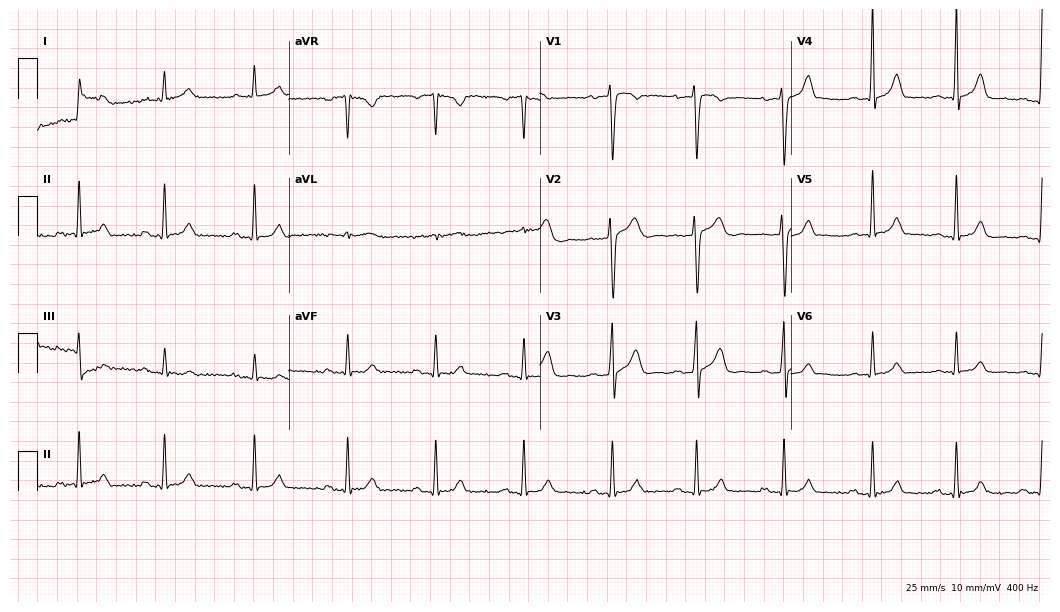
ECG (10.2-second recording at 400 Hz) — a 47-year-old male patient. Labelled as a normal ECG.